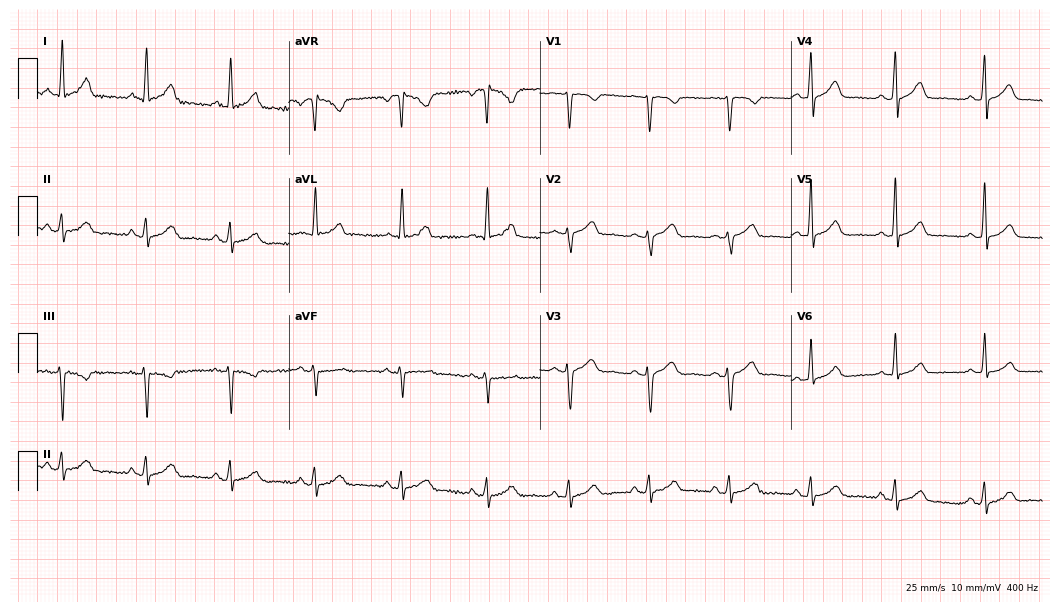
ECG (10.2-second recording at 400 Hz) — a 51-year-old woman. Labelled as a normal ECG.